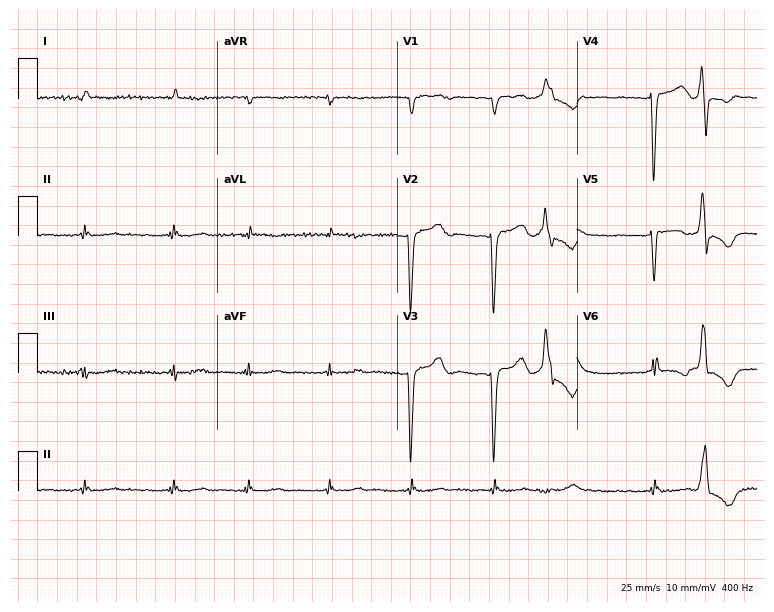
12-lead ECG from a 70-year-old man (7.3-second recording at 400 Hz). No first-degree AV block, right bundle branch block, left bundle branch block, sinus bradycardia, atrial fibrillation or sinus tachycardia recorded for this tracing. Findings outside these six are not listed.